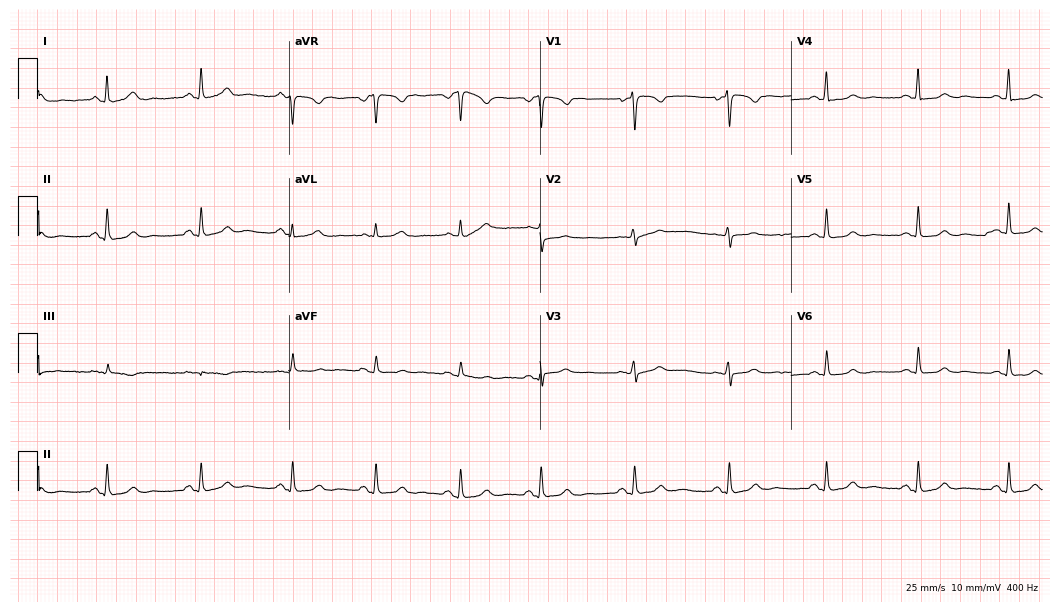
12-lead ECG (10.2-second recording at 400 Hz) from a woman, 46 years old. Labelled as a normal ECG.